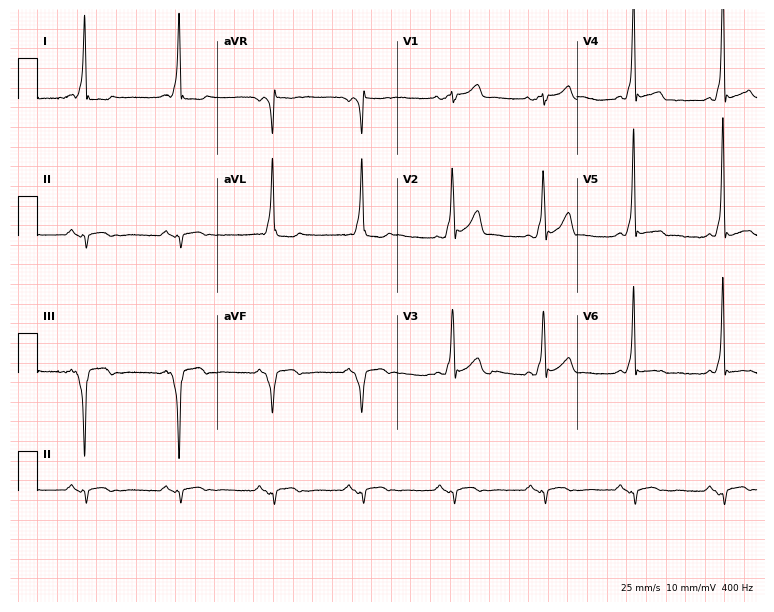
Standard 12-lead ECG recorded from a 39-year-old male. None of these six findings is recorded: first-degree AV block, right bundle branch block, left bundle branch block, sinus bradycardia, atrial fibrillation, sinus tachycardia.